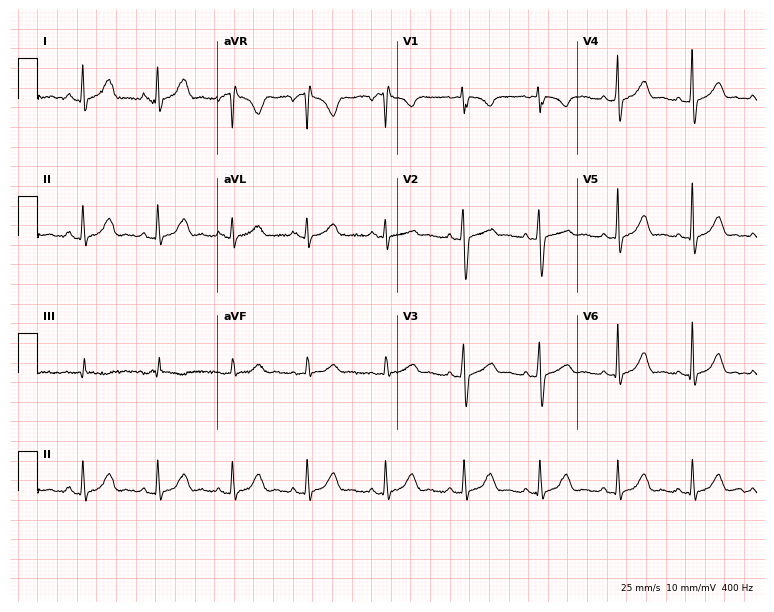
Resting 12-lead electrocardiogram. Patient: a female, 26 years old. Read as a normal ECG.